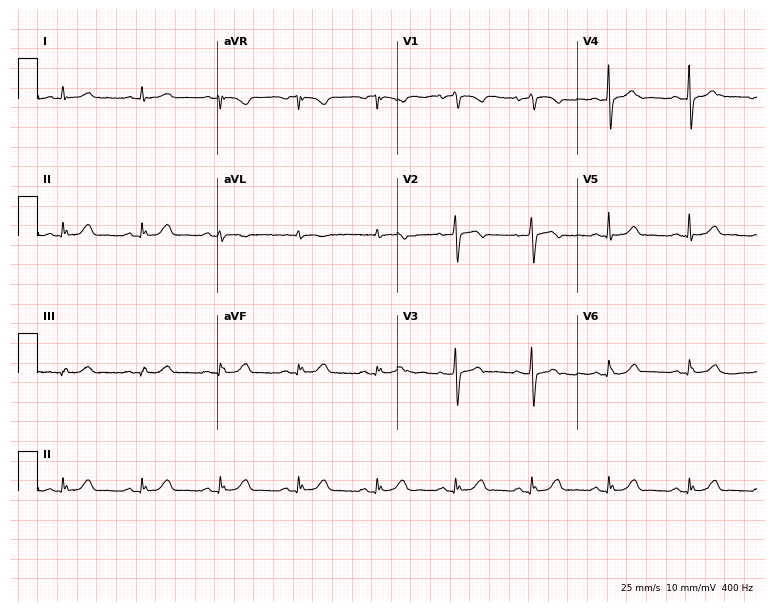
12-lead ECG (7.3-second recording at 400 Hz) from a female patient, 65 years old. Screened for six findings — first-degree AV block, right bundle branch block, left bundle branch block, sinus bradycardia, atrial fibrillation, sinus tachycardia — none is recorded. Findings outside these six are not listed.